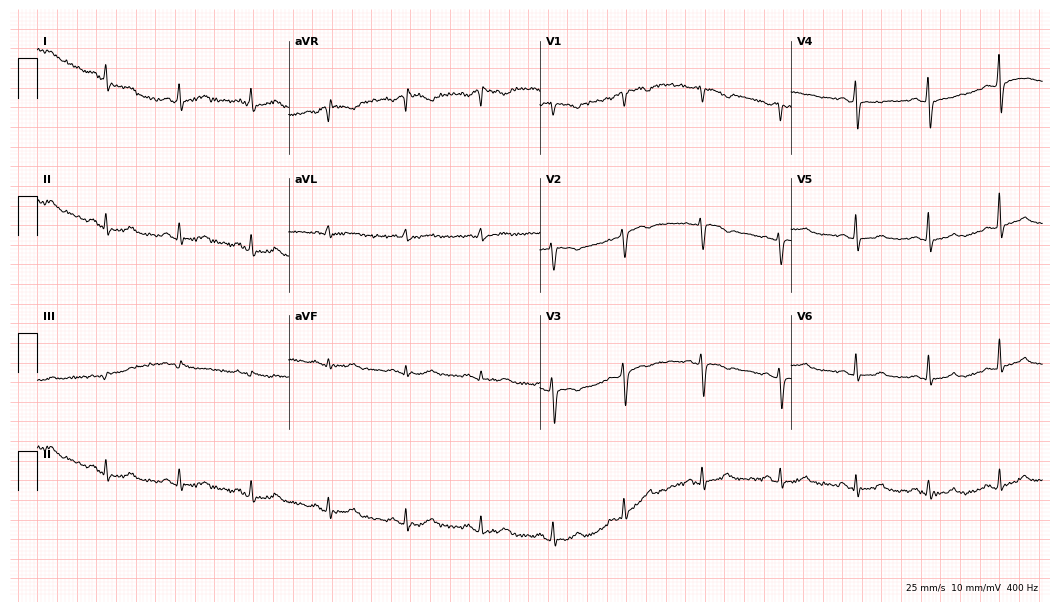
ECG — a female patient, 45 years old. Labelled as a normal ECG.